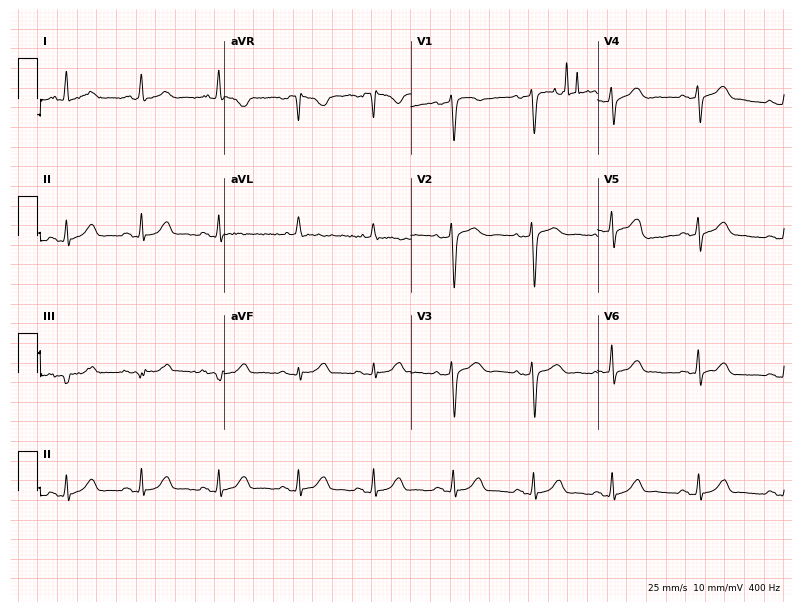
Electrocardiogram, a female, 50 years old. Of the six screened findings (first-degree AV block, right bundle branch block, left bundle branch block, sinus bradycardia, atrial fibrillation, sinus tachycardia), none is recorded. Other findings, if any, are not listed.